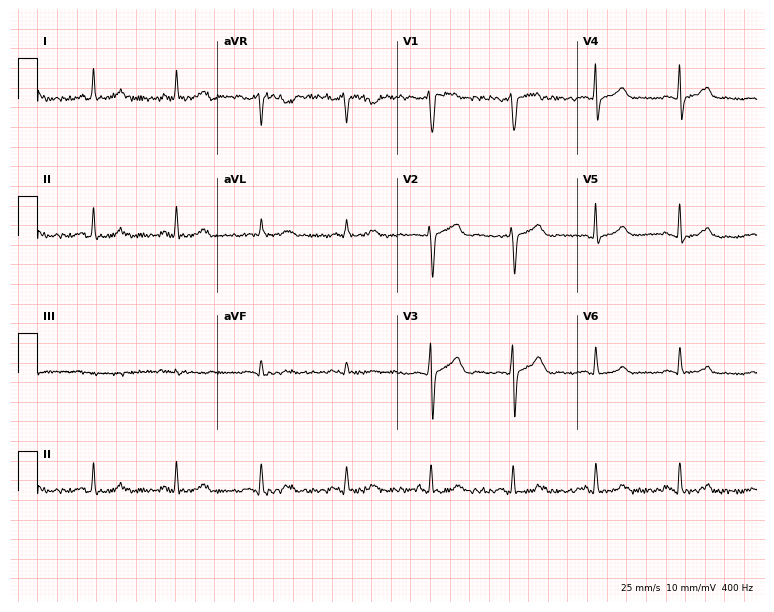
Electrocardiogram (7.3-second recording at 400 Hz), a female, 47 years old. Overall reading on record: normal ECG.